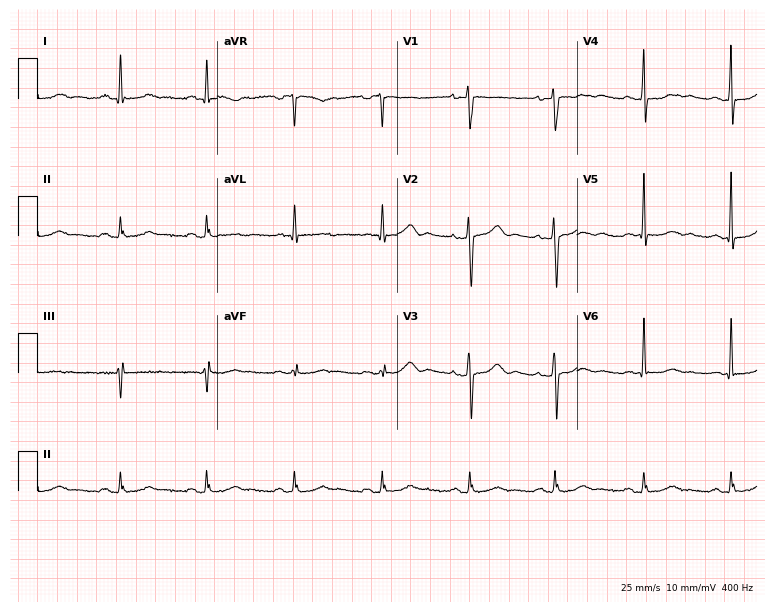
Electrocardiogram (7.3-second recording at 400 Hz), a woman, 45 years old. Of the six screened findings (first-degree AV block, right bundle branch block, left bundle branch block, sinus bradycardia, atrial fibrillation, sinus tachycardia), none is recorded.